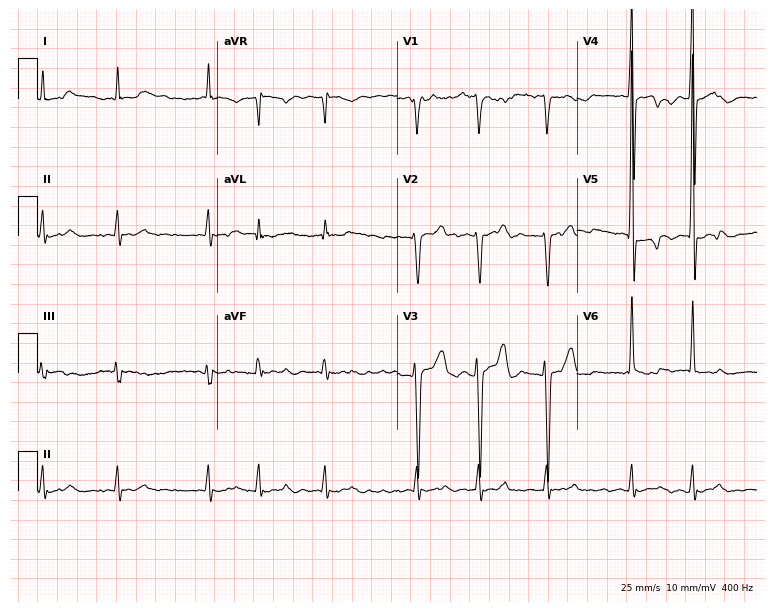
Resting 12-lead electrocardiogram. Patient: a 73-year-old man. The tracing shows atrial fibrillation.